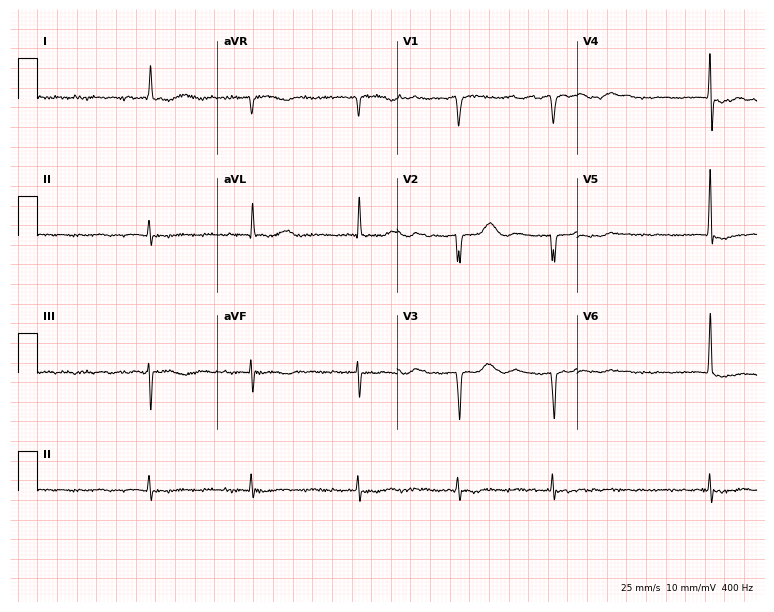
Electrocardiogram, a female patient, 84 years old. Interpretation includes atrial fibrillation.